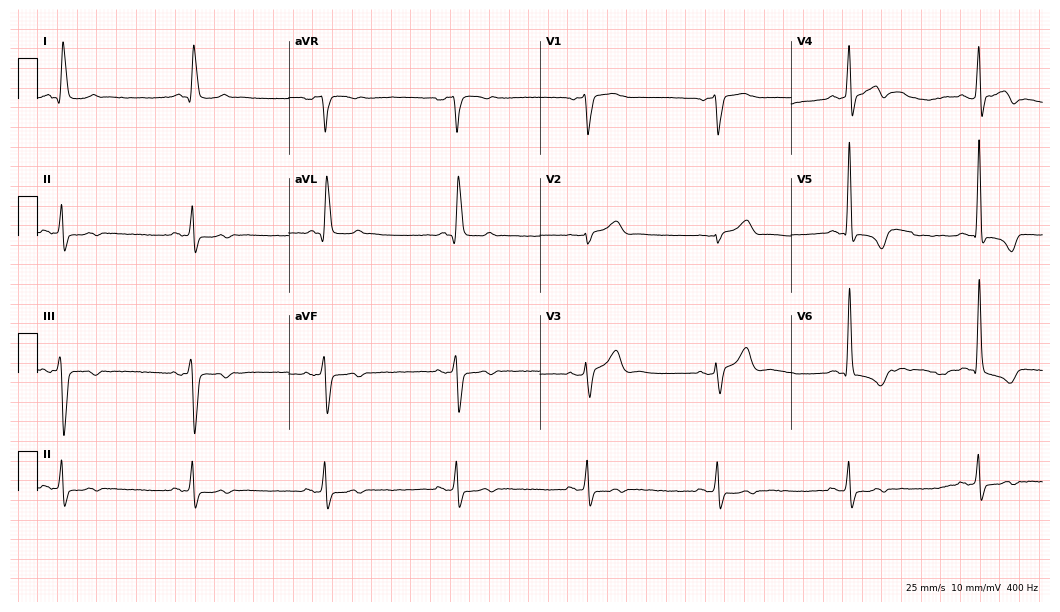
ECG (10.2-second recording at 400 Hz) — a male, 83 years old. Findings include sinus bradycardia (a sinus rate of 50 beats per minute or less).